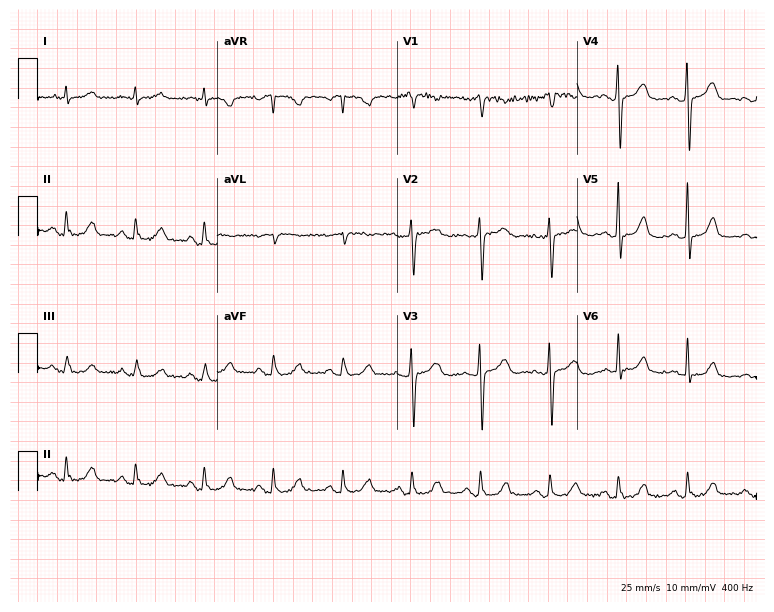
12-lead ECG from a female patient, 62 years old. No first-degree AV block, right bundle branch block (RBBB), left bundle branch block (LBBB), sinus bradycardia, atrial fibrillation (AF) or sinus tachycardia recorded for this tracing. Findings outside these six are not listed.